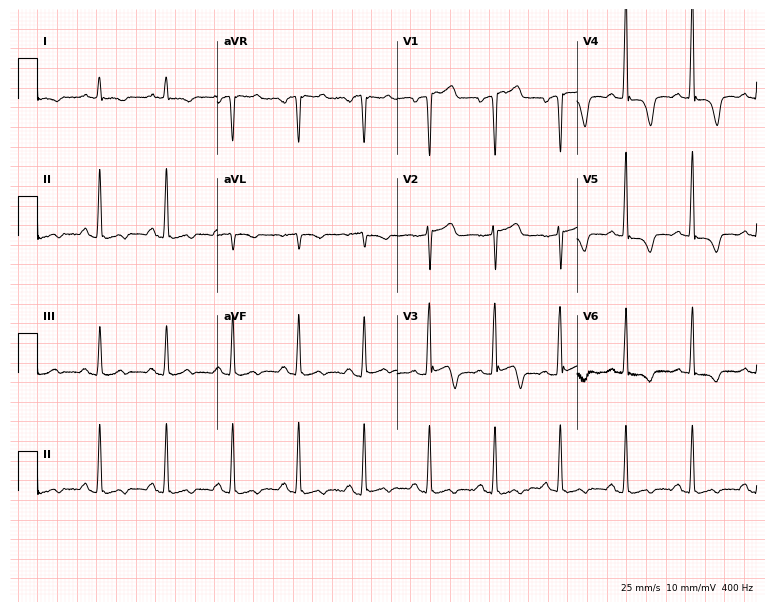
Resting 12-lead electrocardiogram (7.3-second recording at 400 Hz). Patient: a man, 50 years old. None of these six findings is recorded: first-degree AV block, right bundle branch block, left bundle branch block, sinus bradycardia, atrial fibrillation, sinus tachycardia. Other findings, if any, are not listed.